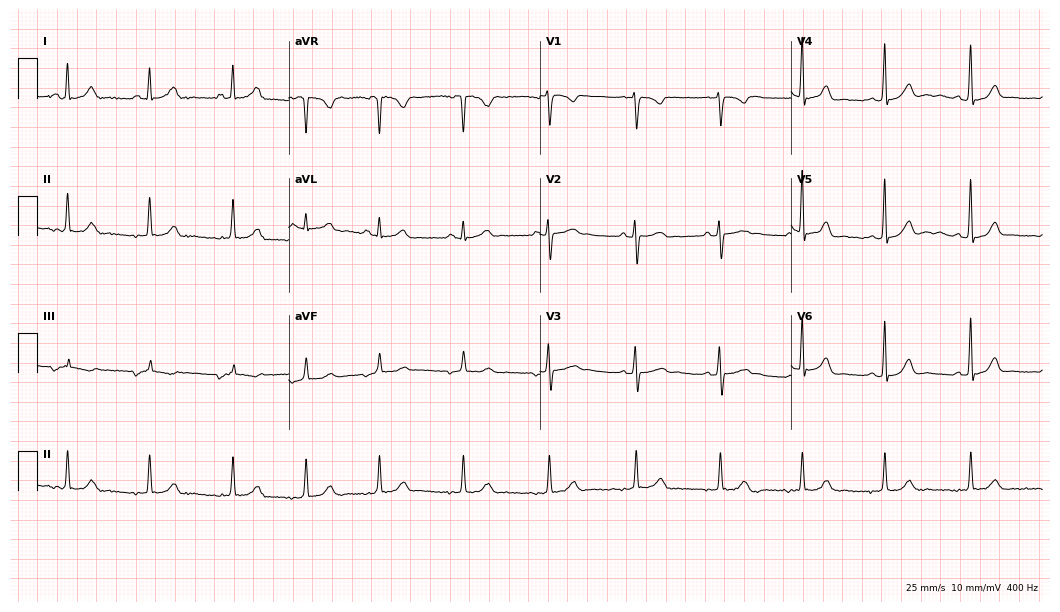
12-lead ECG from a woman, 40 years old. Recorded interpretation: within normal limits.